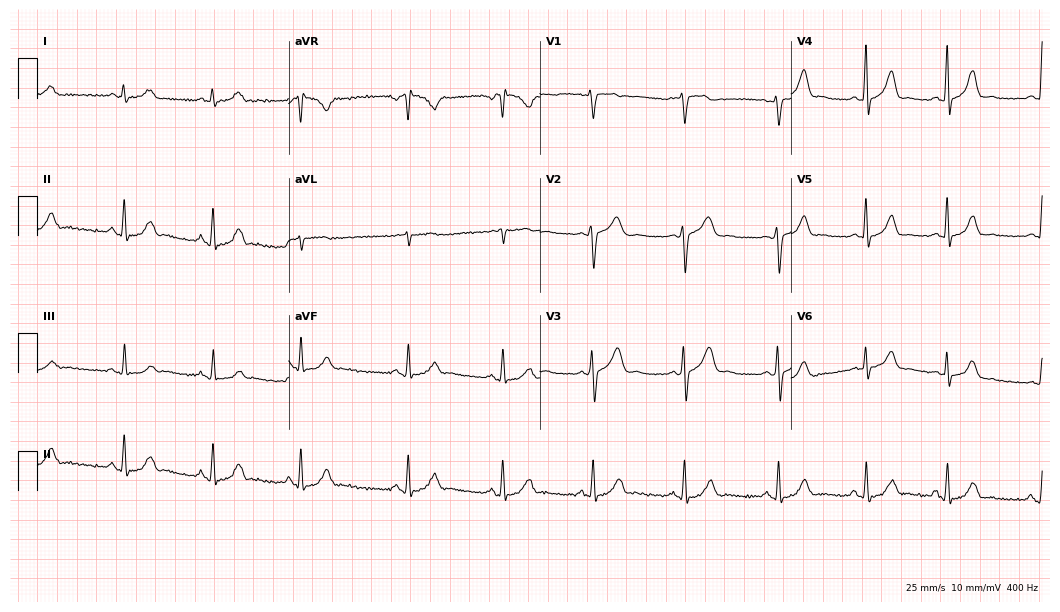
12-lead ECG (10.2-second recording at 400 Hz) from a man, 35 years old. Labelled as a normal ECG.